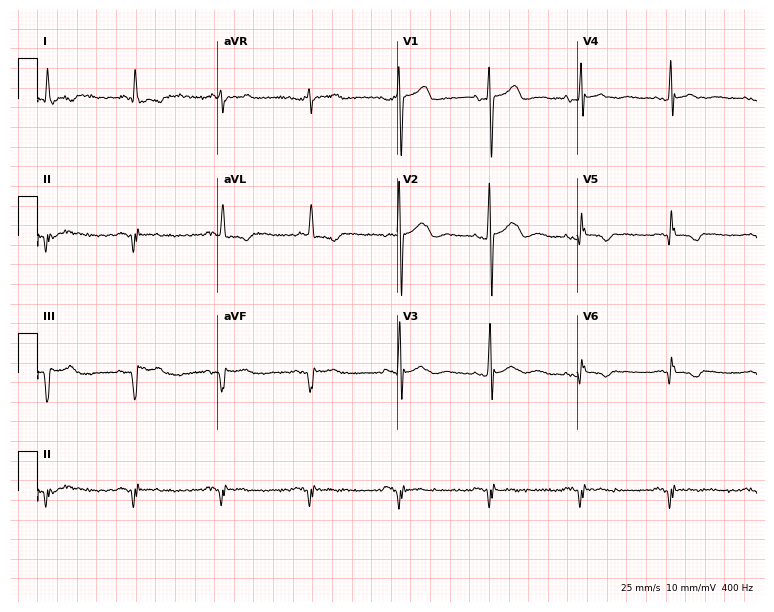
Resting 12-lead electrocardiogram (7.3-second recording at 400 Hz). Patient: a male, 63 years old. None of these six findings is recorded: first-degree AV block, right bundle branch block, left bundle branch block, sinus bradycardia, atrial fibrillation, sinus tachycardia. Findings outside these six are not listed.